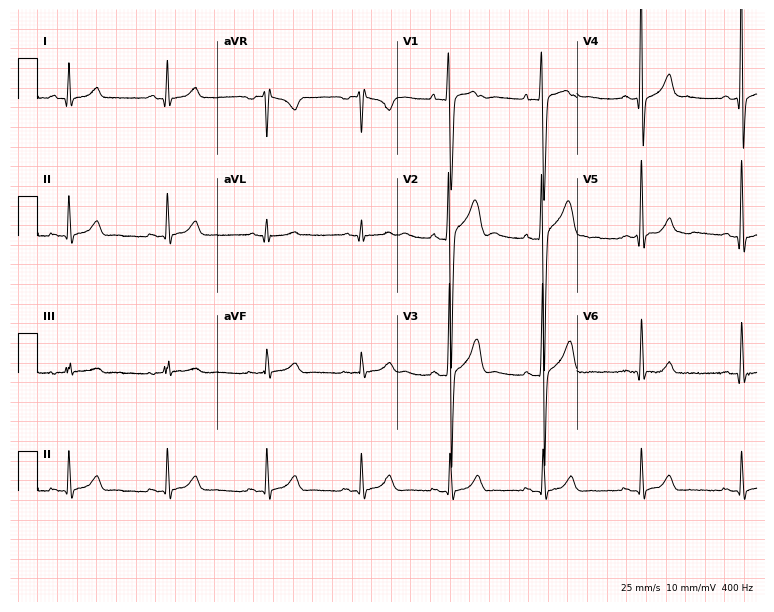
Standard 12-lead ECG recorded from a 20-year-old man. Read as a normal ECG.